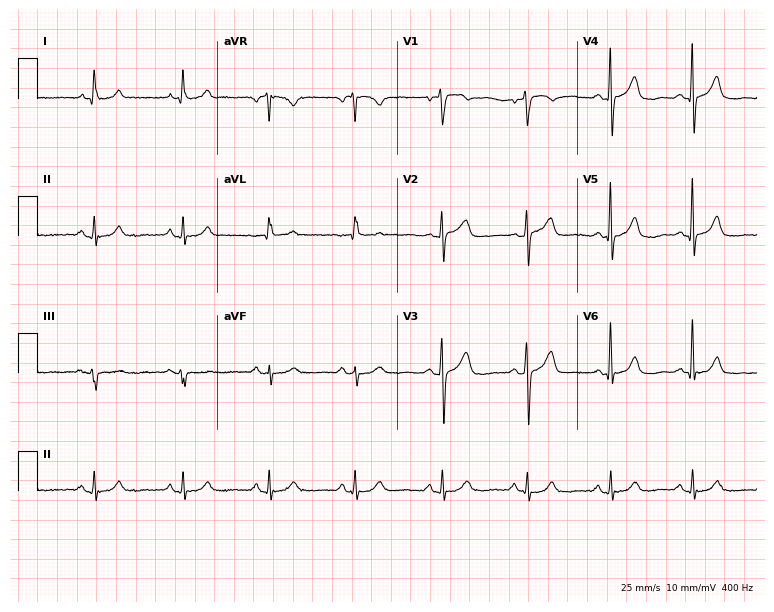
ECG — a male, 69 years old. Labelled as a normal ECG.